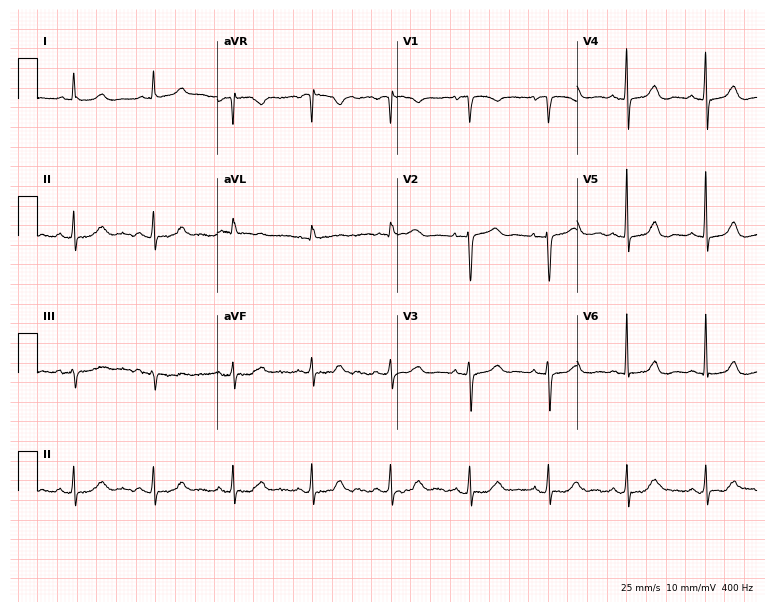
12-lead ECG from a female patient, 74 years old. Labelled as a normal ECG.